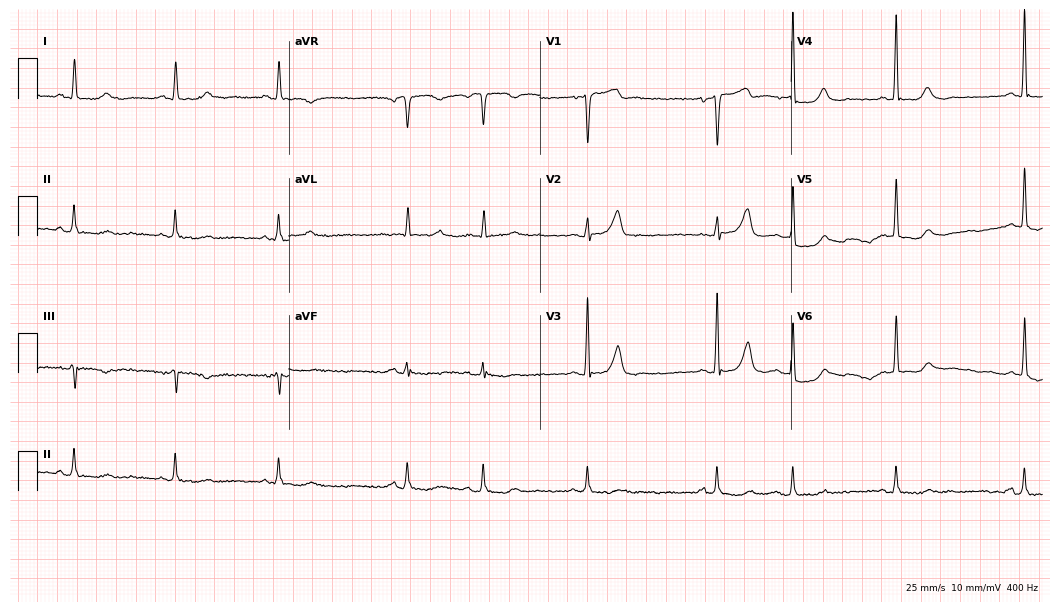
12-lead ECG (10.2-second recording at 400 Hz) from an 84-year-old female. Screened for six findings — first-degree AV block, right bundle branch block, left bundle branch block, sinus bradycardia, atrial fibrillation, sinus tachycardia — none is recorded.